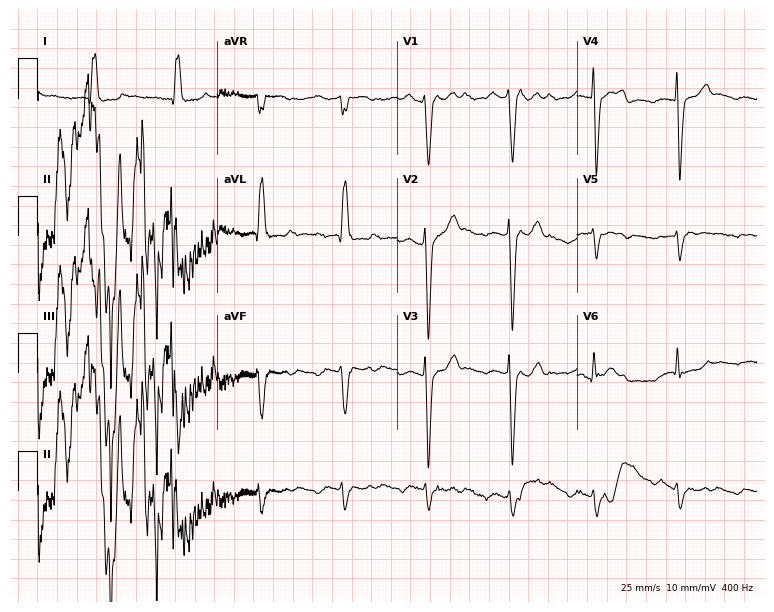
ECG (7.3-second recording at 400 Hz) — an 84-year-old woman. Screened for six findings — first-degree AV block, right bundle branch block, left bundle branch block, sinus bradycardia, atrial fibrillation, sinus tachycardia — none is recorded. Findings outside these six are not listed.